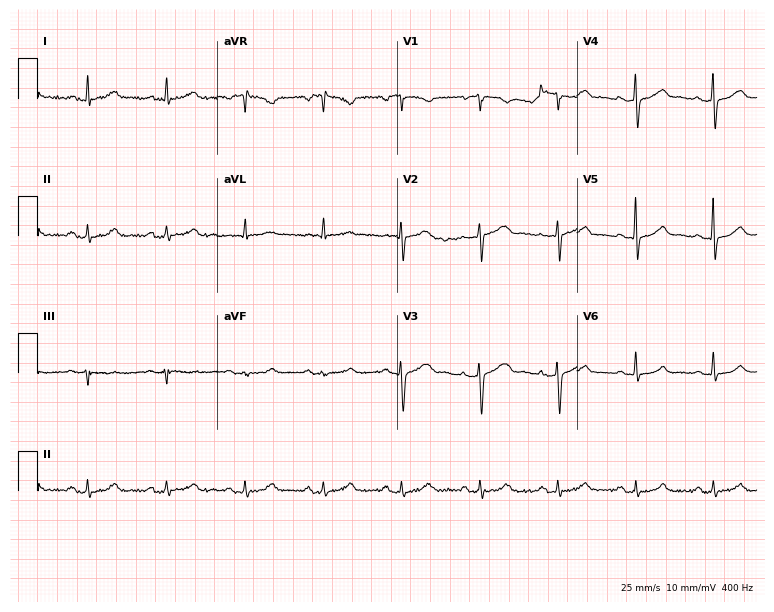
Electrocardiogram, a female patient, 52 years old. Overall reading on record: normal ECG.